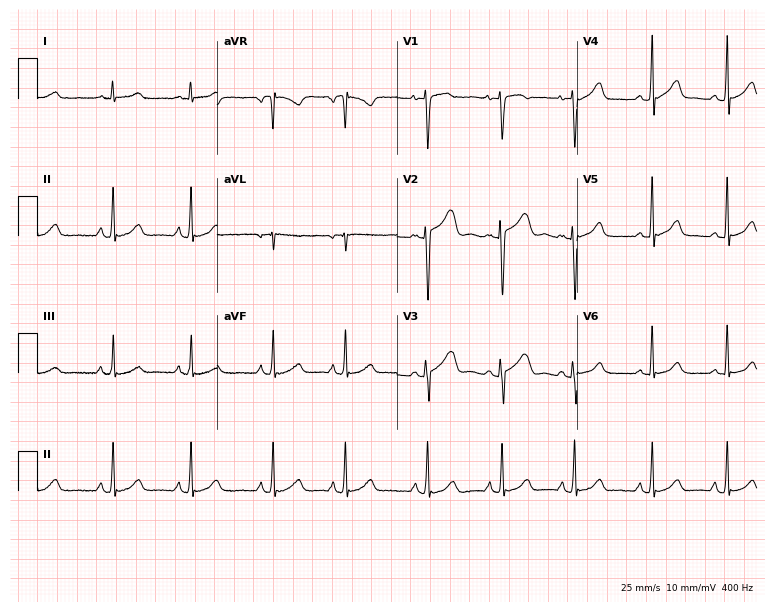
Standard 12-lead ECG recorded from an 18-year-old female patient. None of these six findings is recorded: first-degree AV block, right bundle branch block, left bundle branch block, sinus bradycardia, atrial fibrillation, sinus tachycardia.